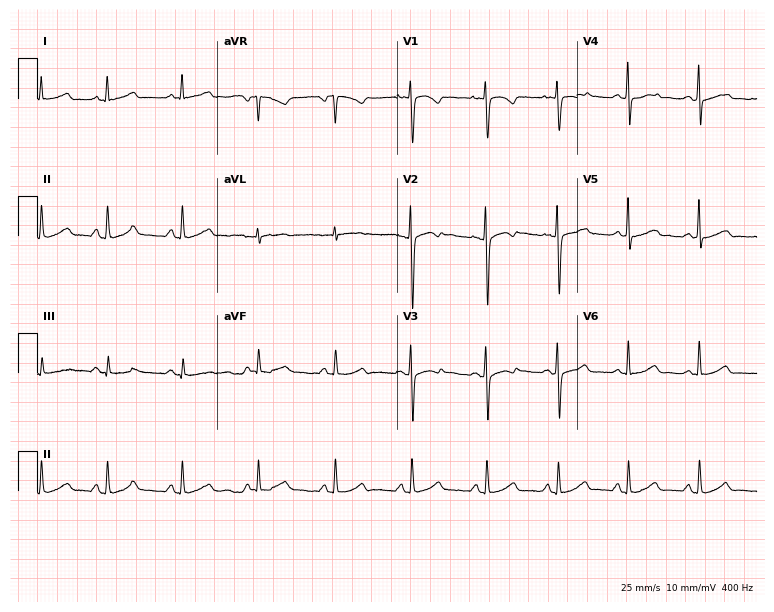
Electrocardiogram, a 31-year-old female. Of the six screened findings (first-degree AV block, right bundle branch block (RBBB), left bundle branch block (LBBB), sinus bradycardia, atrial fibrillation (AF), sinus tachycardia), none is recorded. Only these six findings were labelled.